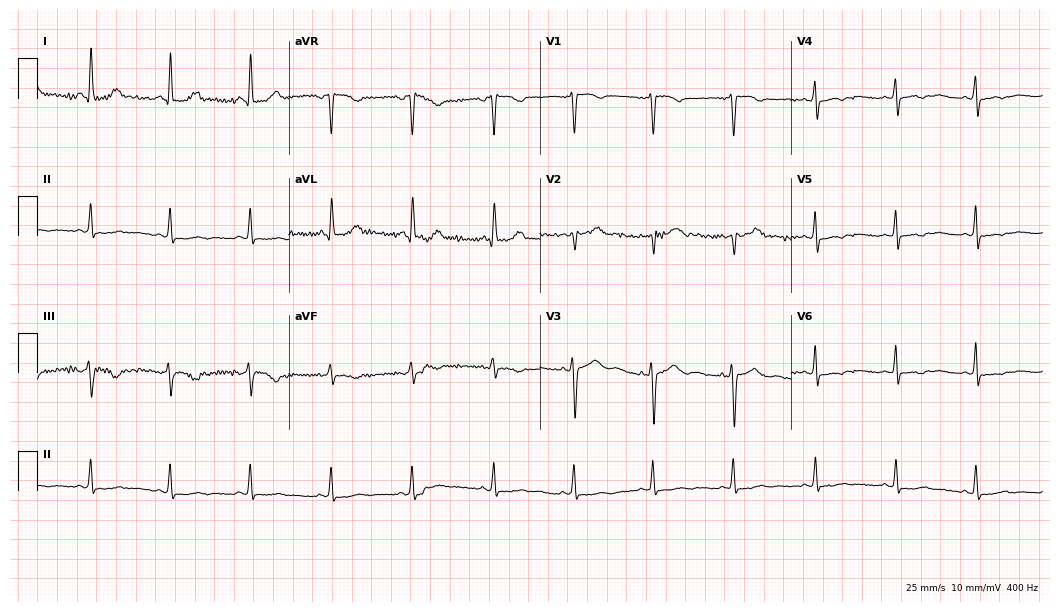
Electrocardiogram, a 49-year-old female. Of the six screened findings (first-degree AV block, right bundle branch block, left bundle branch block, sinus bradycardia, atrial fibrillation, sinus tachycardia), none is recorded. Only these six findings were labelled.